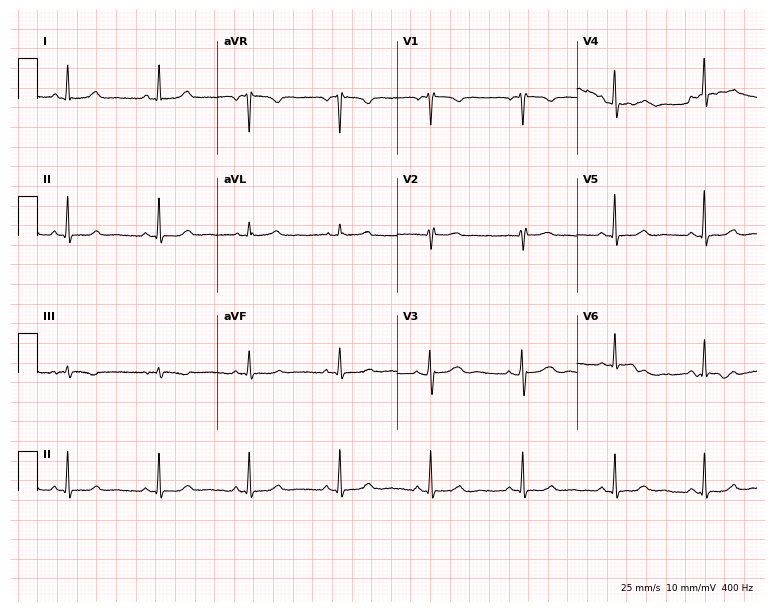
12-lead ECG from a 66-year-old woman. Screened for six findings — first-degree AV block, right bundle branch block, left bundle branch block, sinus bradycardia, atrial fibrillation, sinus tachycardia — none is recorded. Only these six findings were labelled.